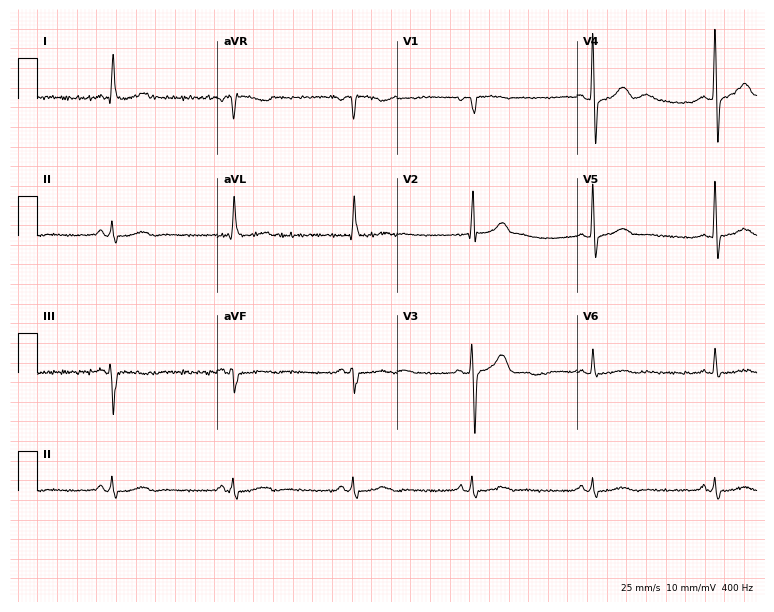
Resting 12-lead electrocardiogram (7.3-second recording at 400 Hz). Patient: a male, 68 years old. Read as a normal ECG.